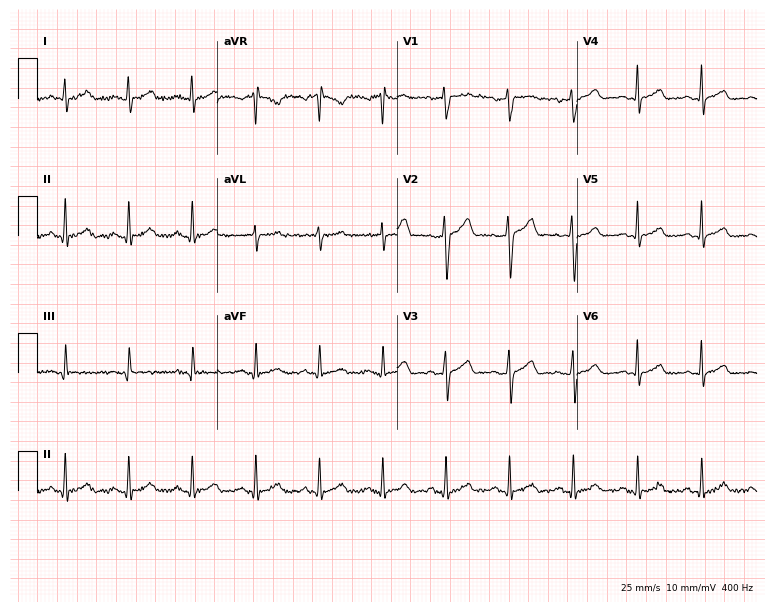
ECG — a male patient, 54 years old. Labelled as a normal ECG.